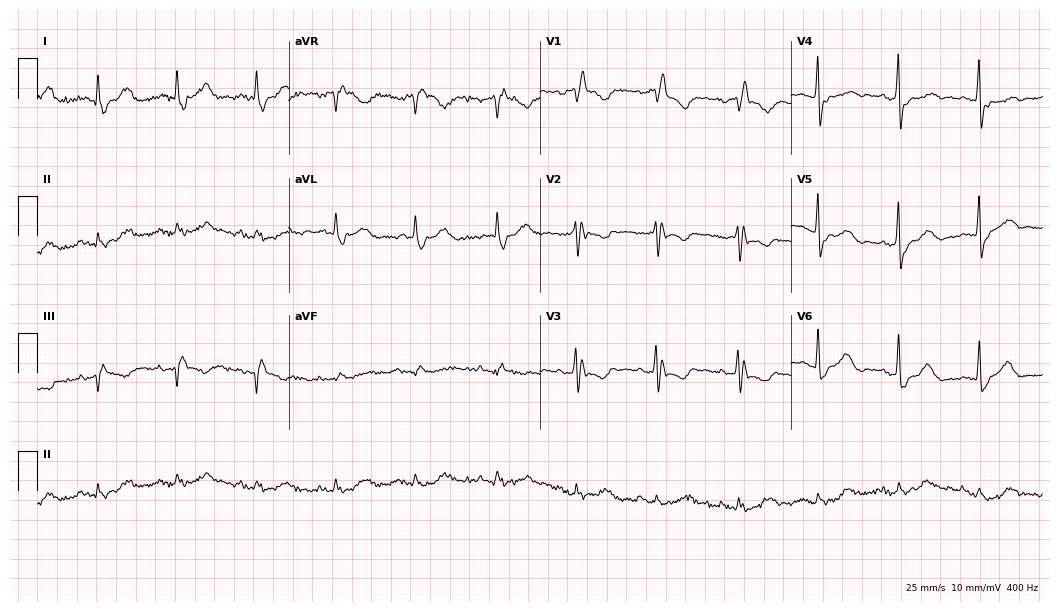
Standard 12-lead ECG recorded from a female, 78 years old (10.2-second recording at 400 Hz). The tracing shows right bundle branch block (RBBB).